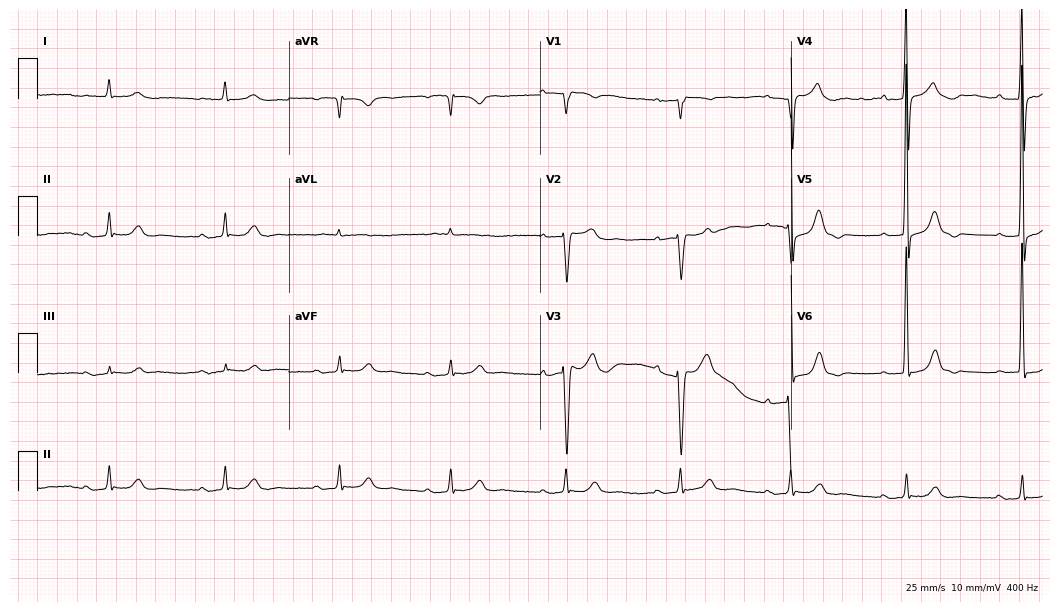
Electrocardiogram (10.2-second recording at 400 Hz), a male, 76 years old. Of the six screened findings (first-degree AV block, right bundle branch block, left bundle branch block, sinus bradycardia, atrial fibrillation, sinus tachycardia), none is recorded. Only these six findings were labelled.